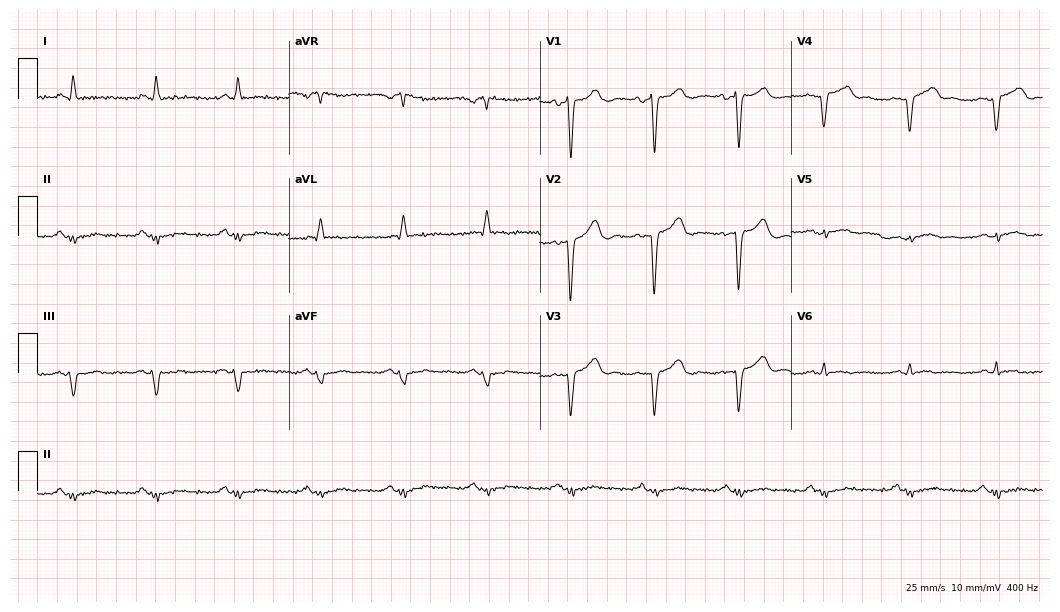
Resting 12-lead electrocardiogram (10.2-second recording at 400 Hz). Patient: a male, 63 years old. None of these six findings is recorded: first-degree AV block, right bundle branch block, left bundle branch block, sinus bradycardia, atrial fibrillation, sinus tachycardia.